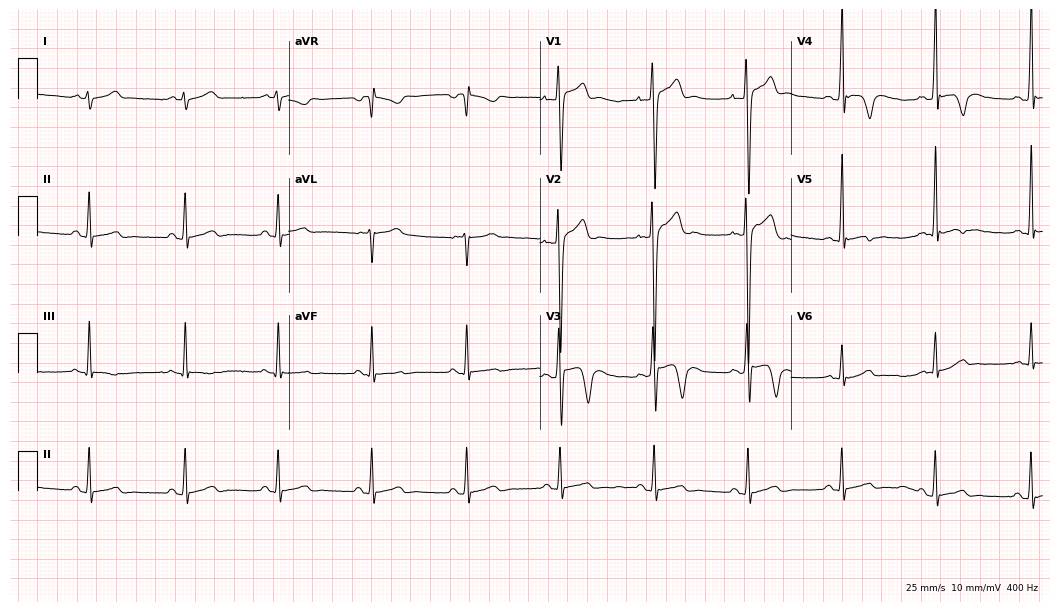
12-lead ECG from a 17-year-old male. No first-degree AV block, right bundle branch block (RBBB), left bundle branch block (LBBB), sinus bradycardia, atrial fibrillation (AF) or sinus tachycardia recorded for this tracing.